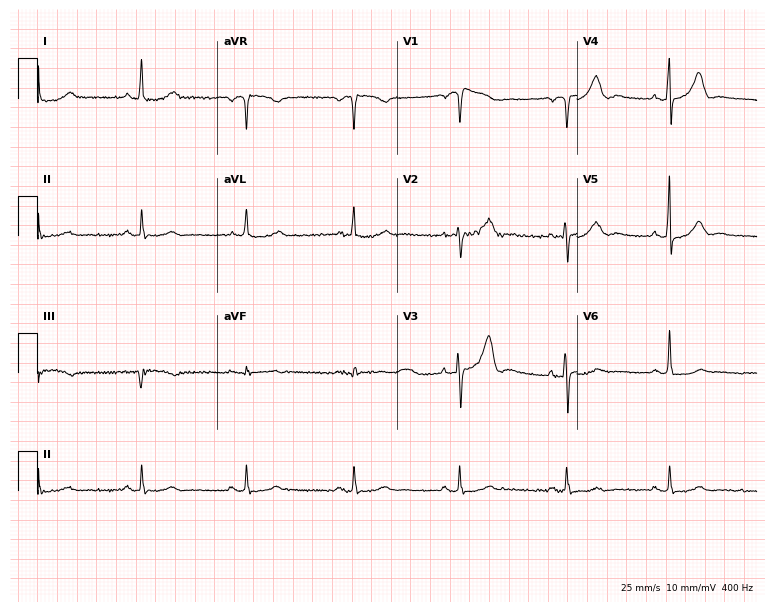
Electrocardiogram (7.3-second recording at 400 Hz), an 84-year-old man. Overall reading on record: normal ECG.